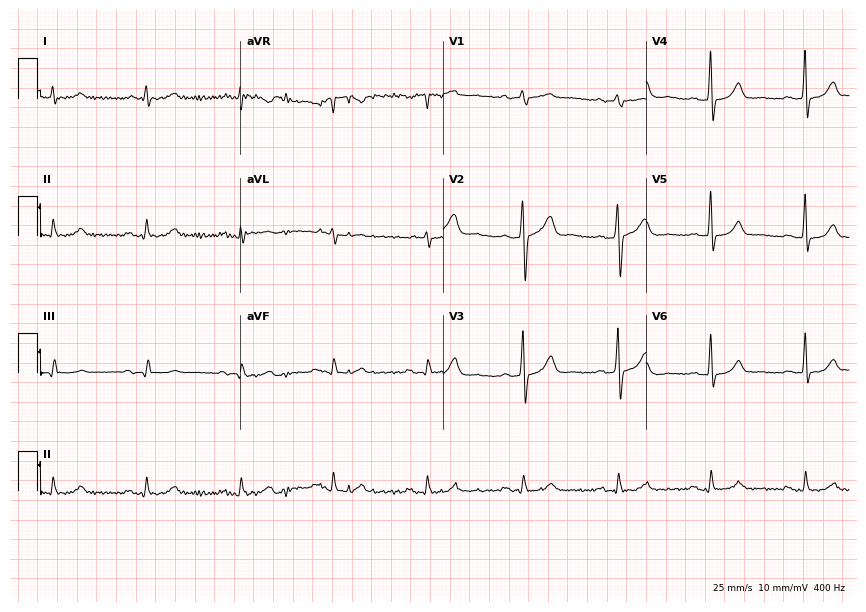
12-lead ECG from a man, 69 years old. Labelled as a normal ECG.